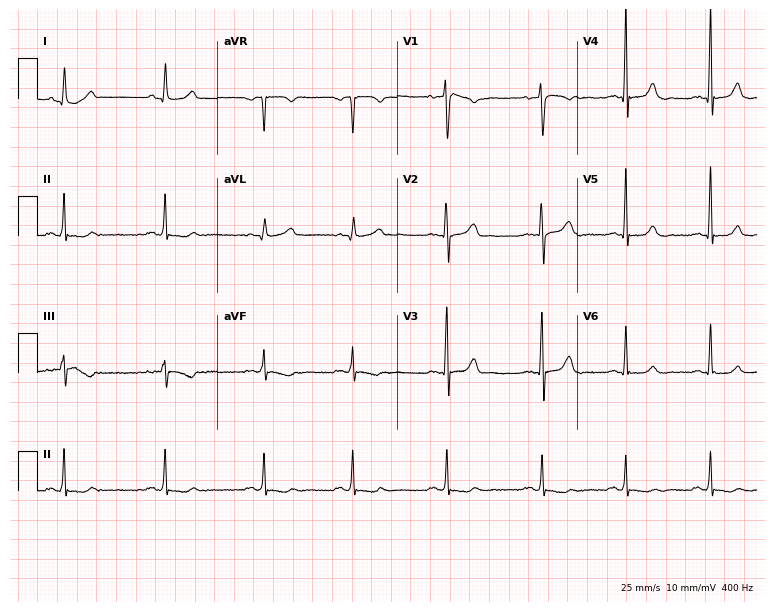
ECG — a female, 30 years old. Screened for six findings — first-degree AV block, right bundle branch block, left bundle branch block, sinus bradycardia, atrial fibrillation, sinus tachycardia — none is recorded.